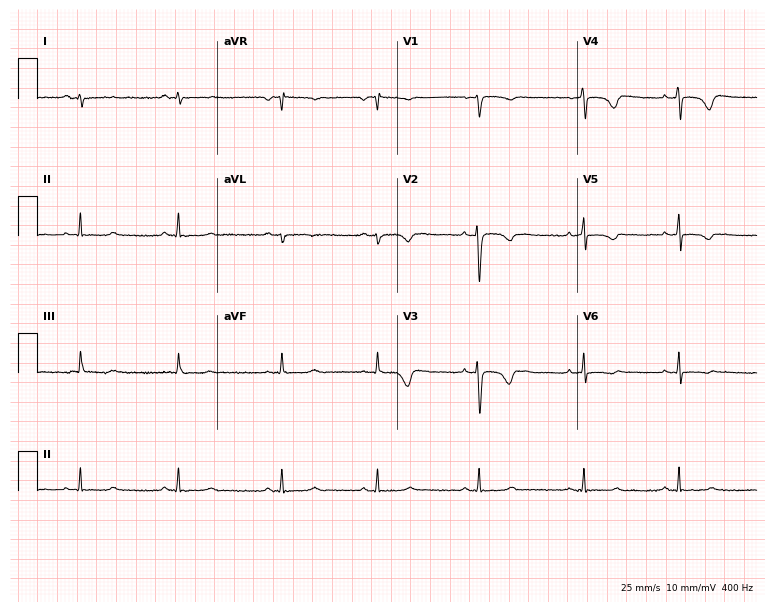
Standard 12-lead ECG recorded from a female patient, 19 years old (7.3-second recording at 400 Hz). None of these six findings is recorded: first-degree AV block, right bundle branch block (RBBB), left bundle branch block (LBBB), sinus bradycardia, atrial fibrillation (AF), sinus tachycardia. Findings outside these six are not listed.